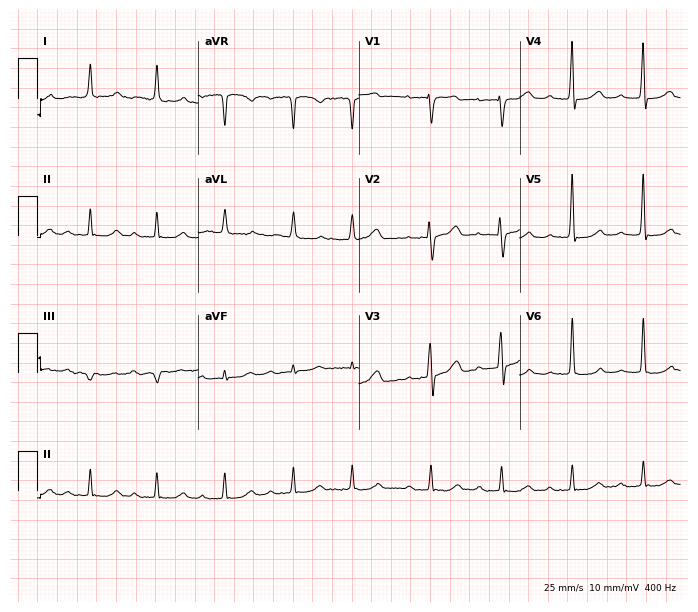
12-lead ECG from a male patient, 82 years old. Shows first-degree AV block.